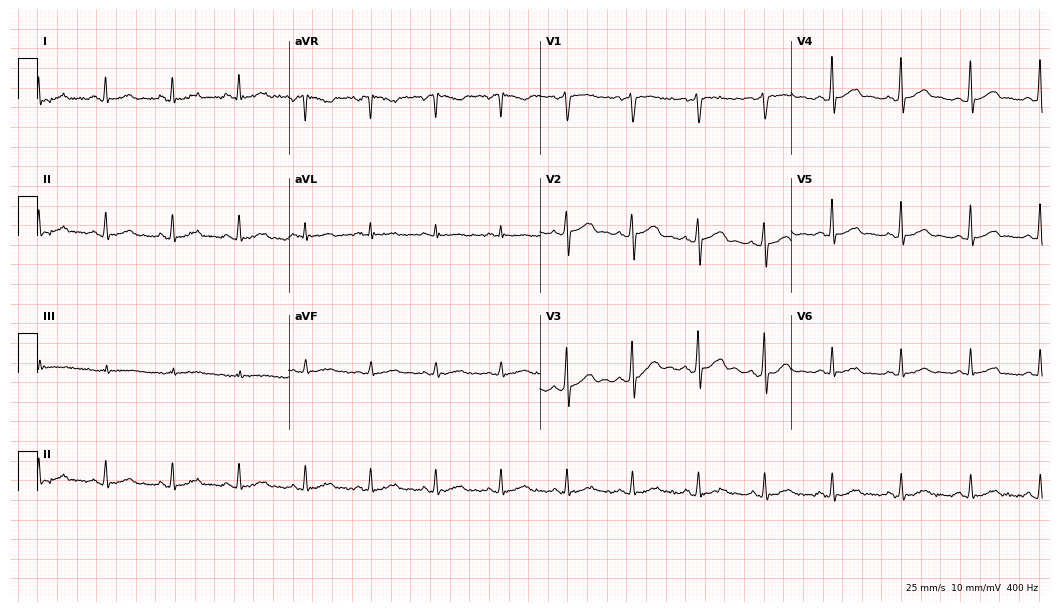
12-lead ECG from a 43-year-old male patient. Screened for six findings — first-degree AV block, right bundle branch block, left bundle branch block, sinus bradycardia, atrial fibrillation, sinus tachycardia — none is recorded.